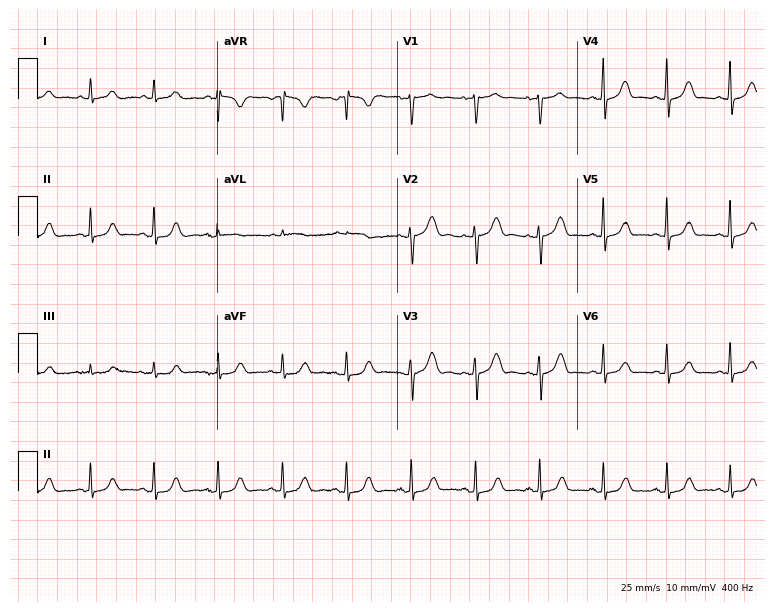
ECG (7.3-second recording at 400 Hz) — a 63-year-old female patient. Labelled as a normal ECG.